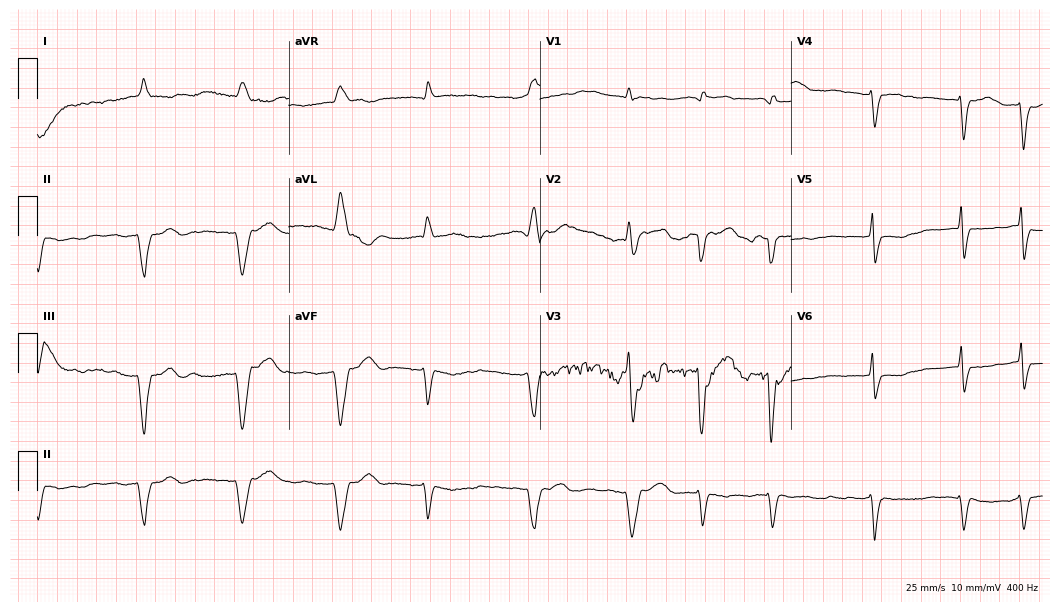
12-lead ECG from a male, 83 years old. No first-degree AV block, right bundle branch block, left bundle branch block, sinus bradycardia, atrial fibrillation or sinus tachycardia recorded for this tracing. Findings outside these six are not listed.